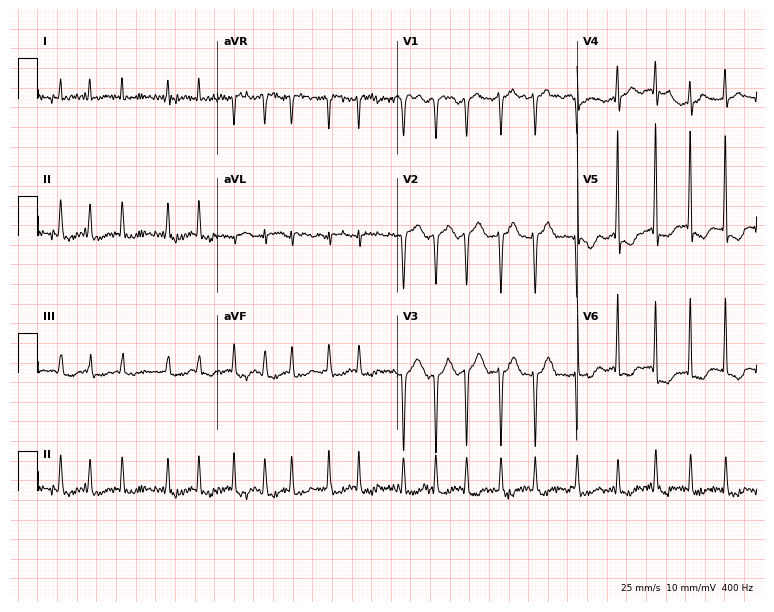
12-lead ECG from a female, 75 years old (7.3-second recording at 400 Hz). Shows atrial fibrillation.